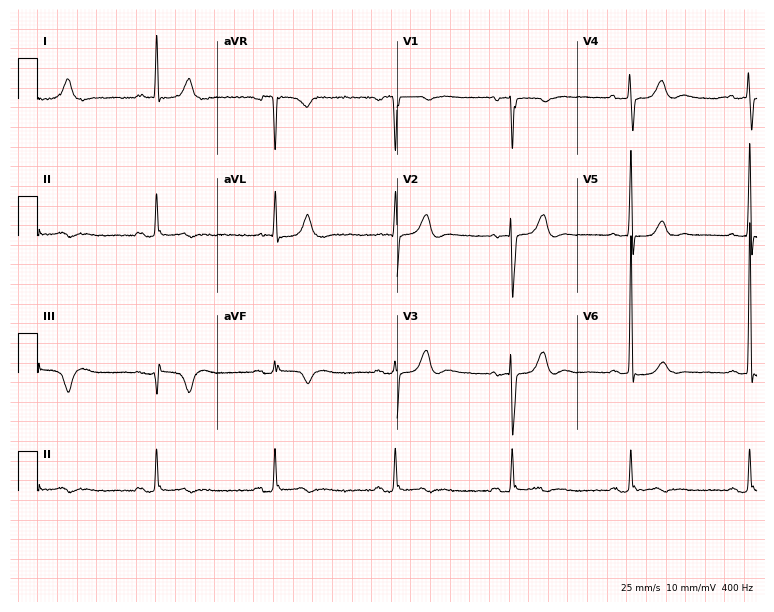
12-lead ECG from a male patient, 82 years old. Shows sinus bradycardia (a sinus rate of 50 beats per minute or less).